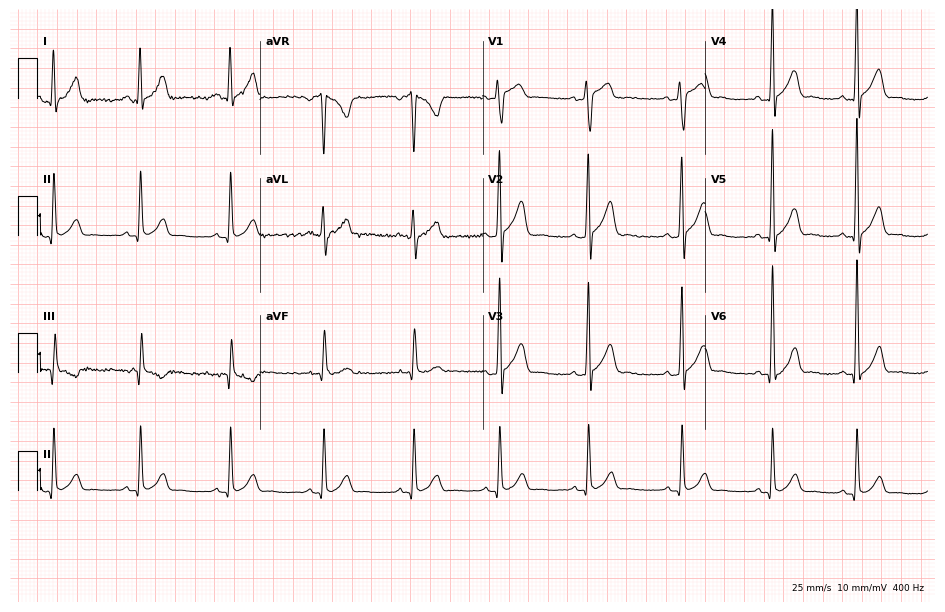
Resting 12-lead electrocardiogram. Patient: a 25-year-old man. Read as a normal ECG.